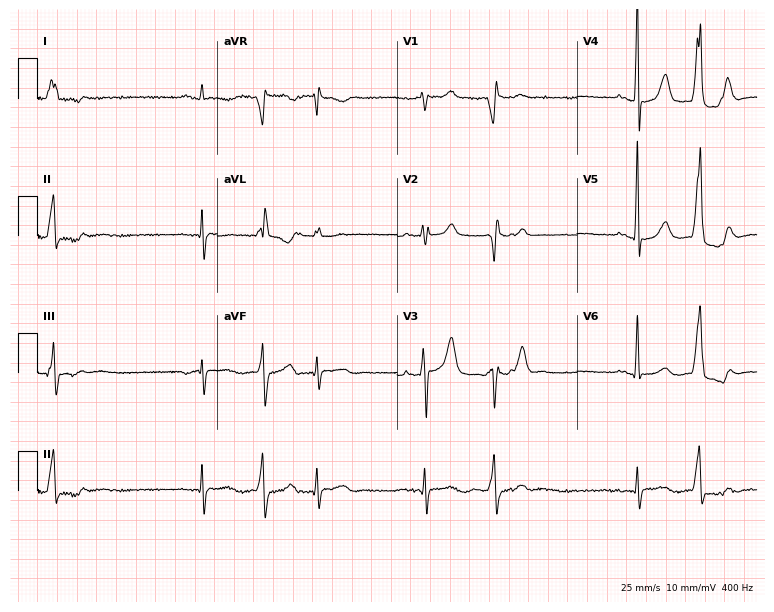
Electrocardiogram, a 74-year-old male. Of the six screened findings (first-degree AV block, right bundle branch block (RBBB), left bundle branch block (LBBB), sinus bradycardia, atrial fibrillation (AF), sinus tachycardia), none is recorded. Findings outside these six are not listed.